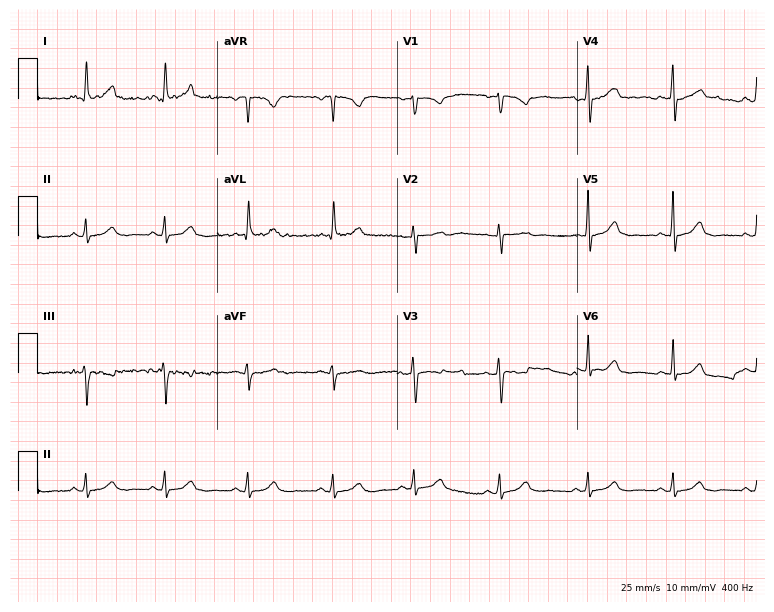
12-lead ECG (7.3-second recording at 400 Hz) from a 33-year-old woman. Labelled as a normal ECG.